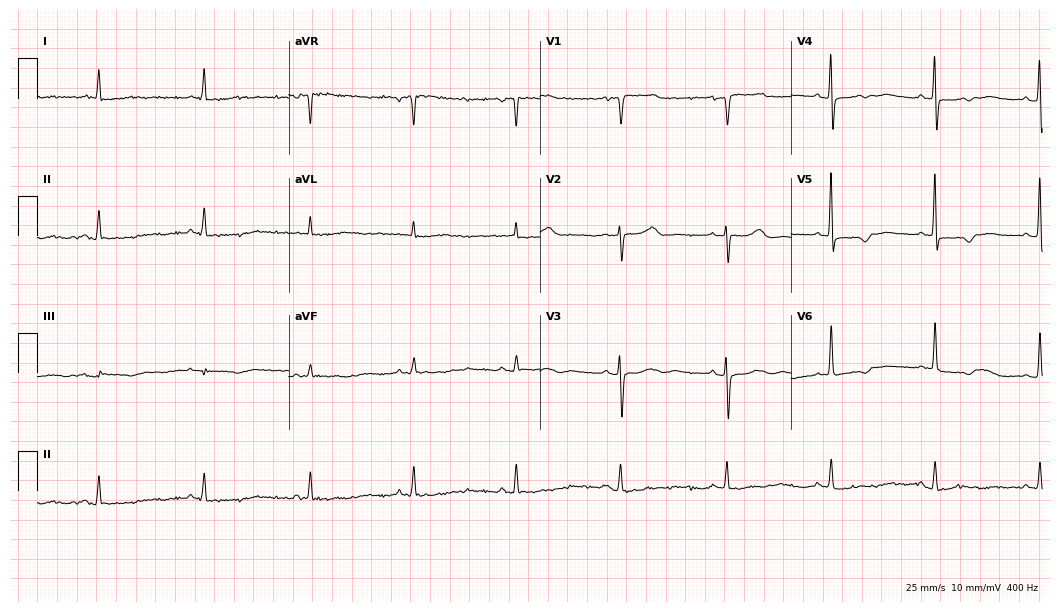
ECG (10.2-second recording at 400 Hz) — an 84-year-old female. Screened for six findings — first-degree AV block, right bundle branch block, left bundle branch block, sinus bradycardia, atrial fibrillation, sinus tachycardia — none is recorded.